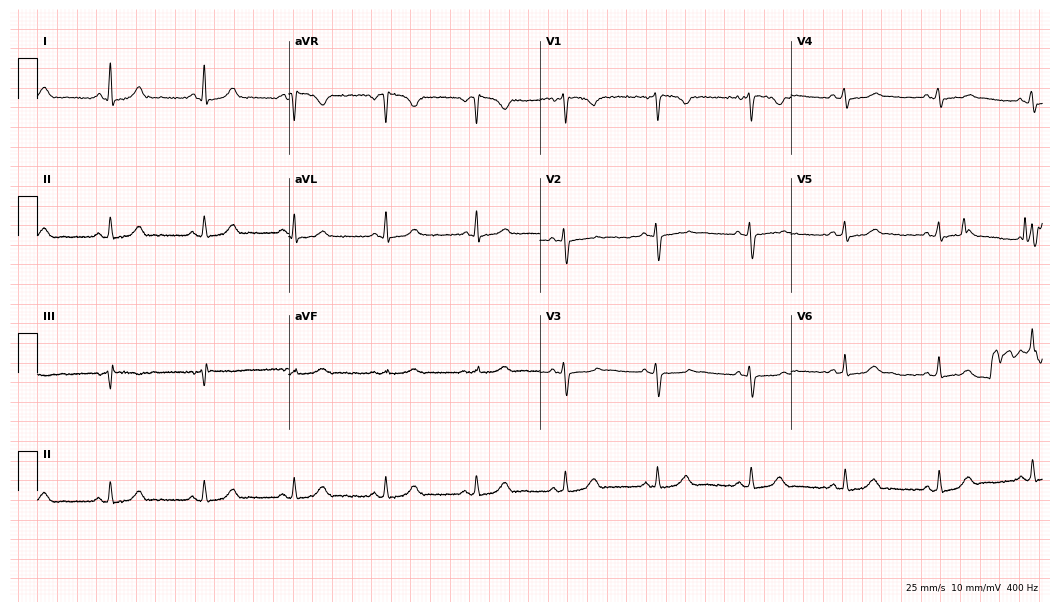
12-lead ECG from a female patient, 41 years old. Screened for six findings — first-degree AV block, right bundle branch block, left bundle branch block, sinus bradycardia, atrial fibrillation, sinus tachycardia — none is recorded. Only these six findings were labelled.